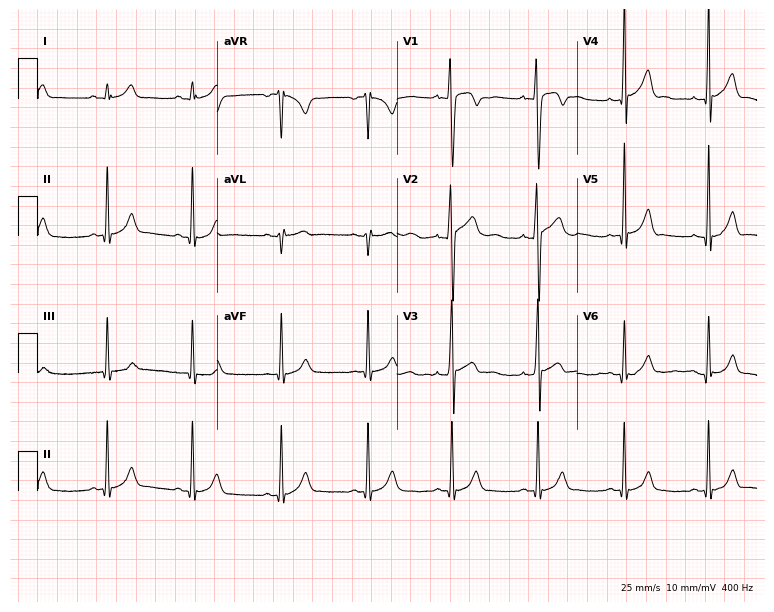
12-lead ECG (7.3-second recording at 400 Hz) from a 17-year-old man. Labelled as a normal ECG.